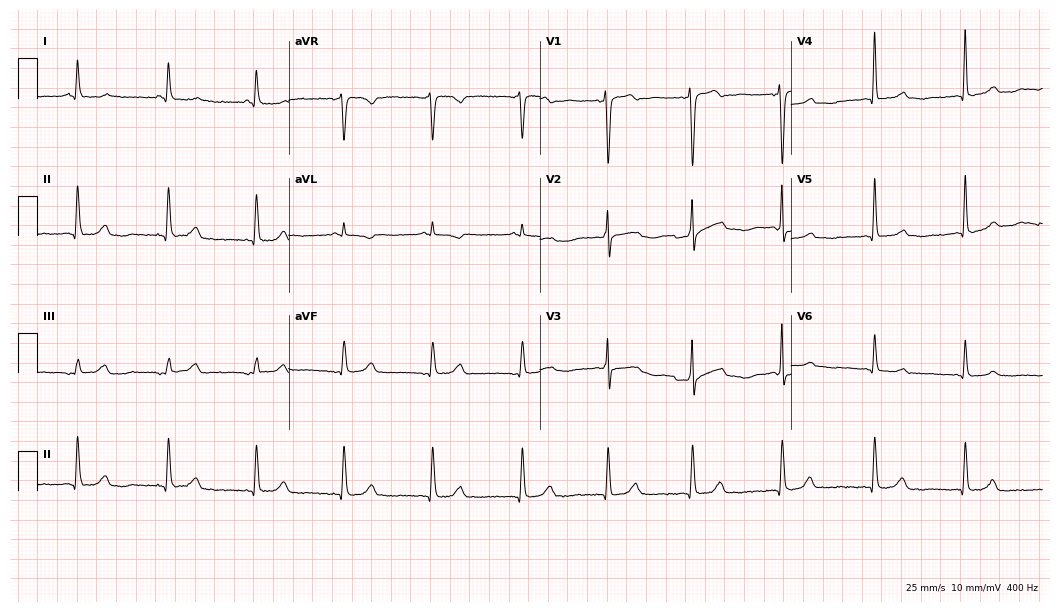
Resting 12-lead electrocardiogram. Patient: a female, 53 years old. None of these six findings is recorded: first-degree AV block, right bundle branch block, left bundle branch block, sinus bradycardia, atrial fibrillation, sinus tachycardia. Only these six findings were labelled.